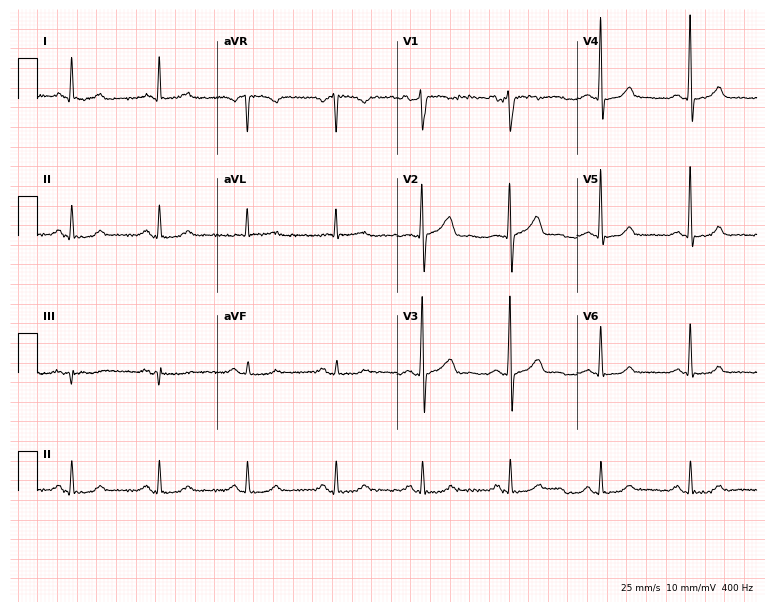
12-lead ECG from a 61-year-old male patient. Recorded interpretation: within normal limits.